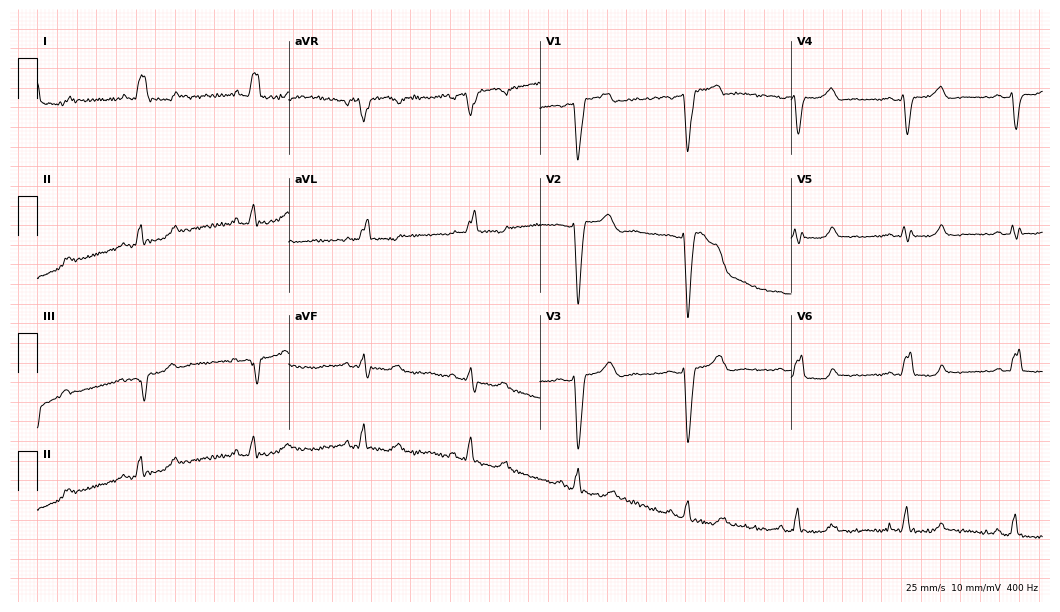
Standard 12-lead ECG recorded from a 72-year-old female patient. The tracing shows left bundle branch block (LBBB).